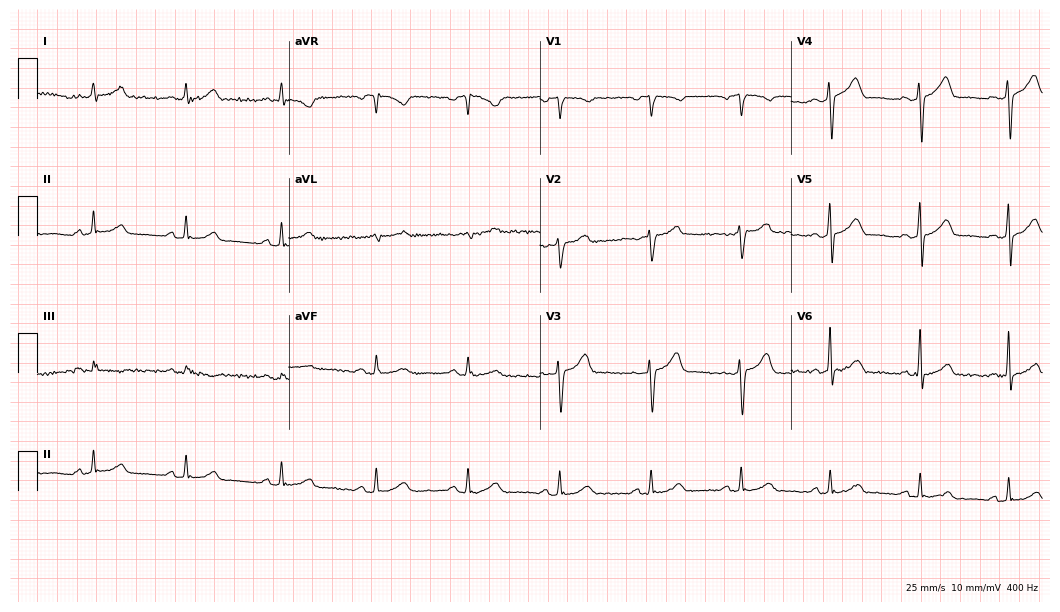
Standard 12-lead ECG recorded from a man, 54 years old (10.2-second recording at 400 Hz). Read as a normal ECG.